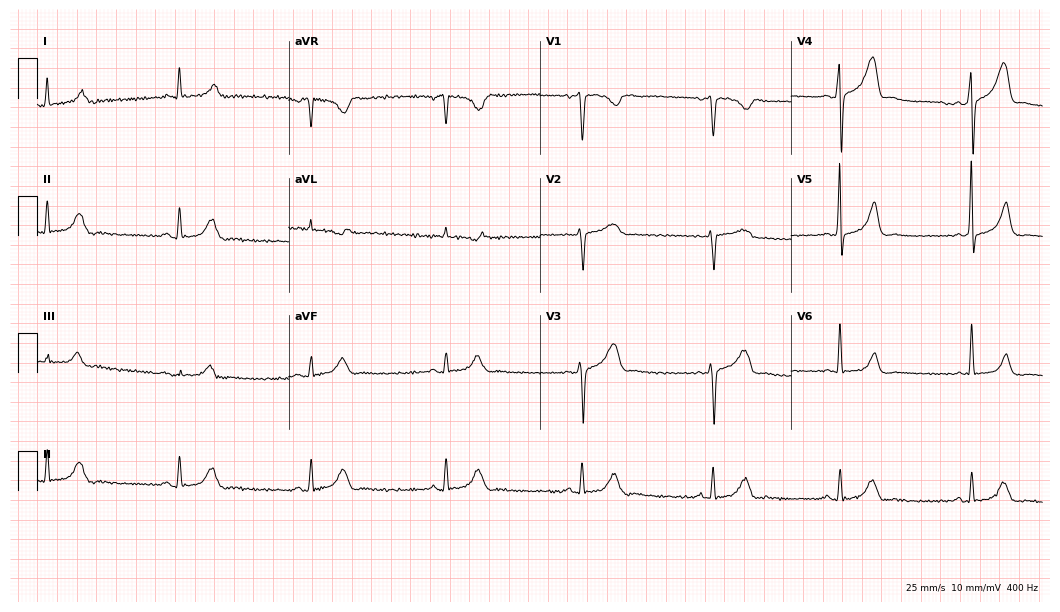
ECG — a 39-year-old male patient. Findings include sinus bradycardia (a sinus rate of 50 beats per minute or less).